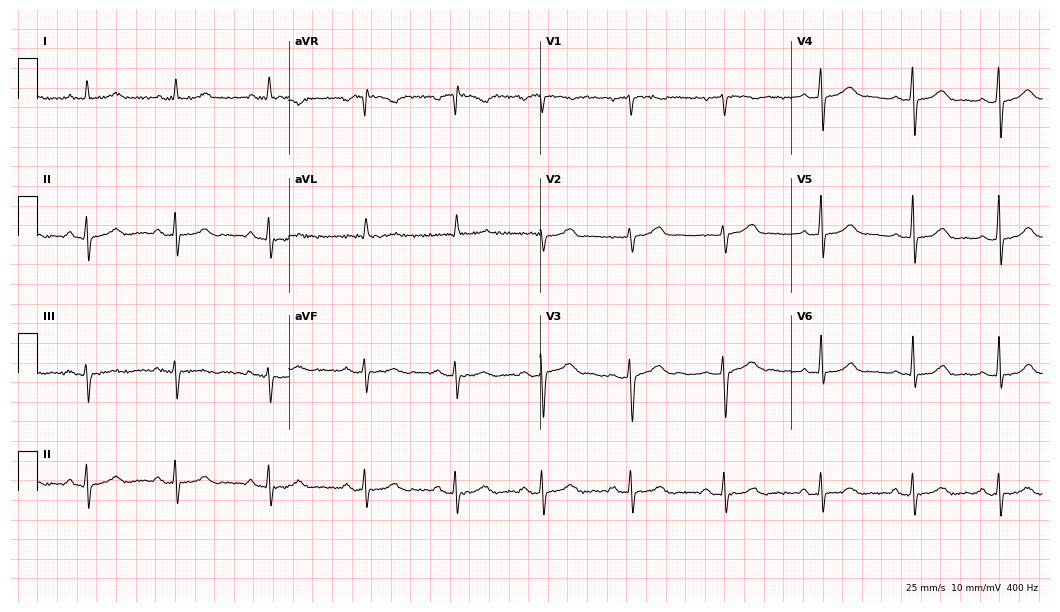
12-lead ECG from a female patient, 40 years old. Recorded interpretation: within normal limits.